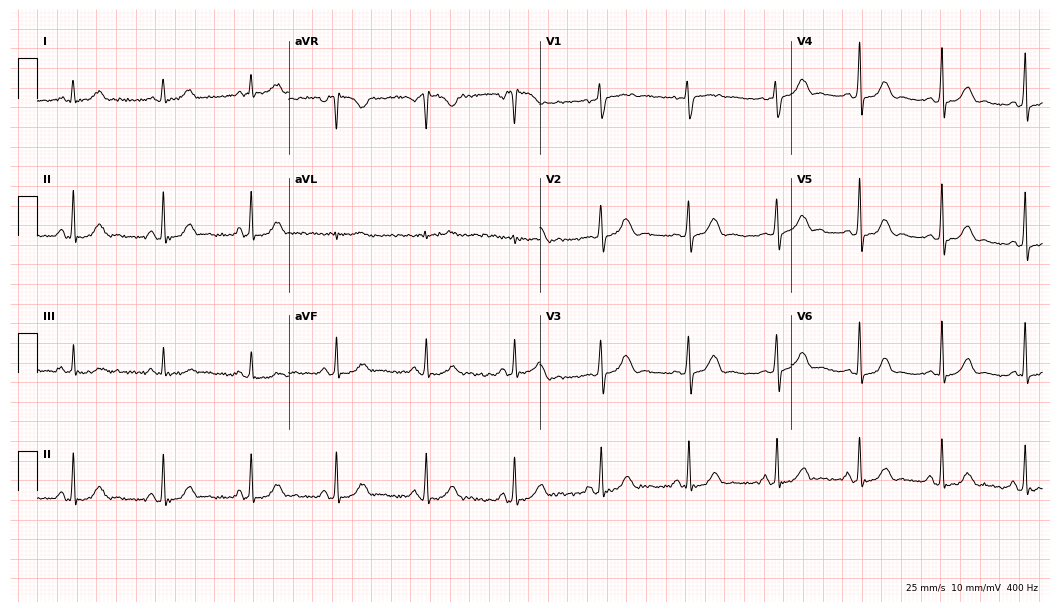
12-lead ECG from a 38-year-old woman (10.2-second recording at 400 Hz). Recorded interpretation: within normal limits.